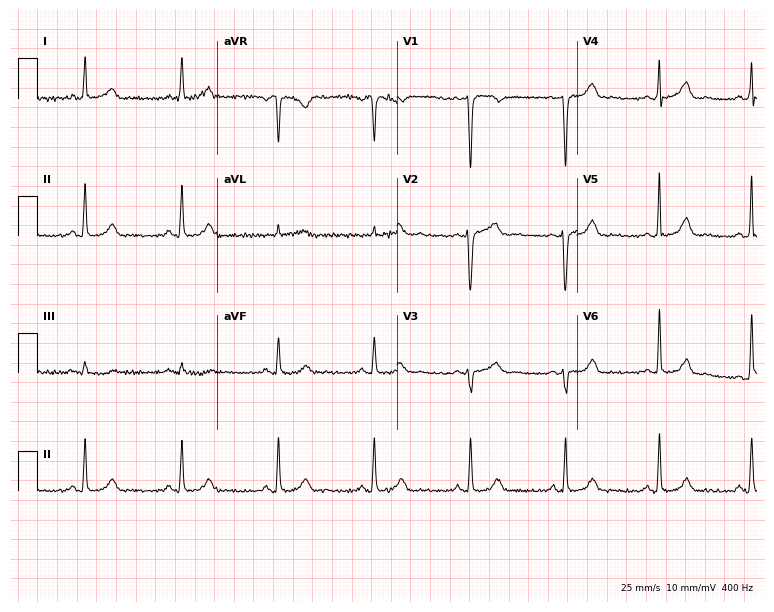
12-lead ECG (7.3-second recording at 400 Hz) from a 51-year-old woman. Screened for six findings — first-degree AV block, right bundle branch block, left bundle branch block, sinus bradycardia, atrial fibrillation, sinus tachycardia — none is recorded.